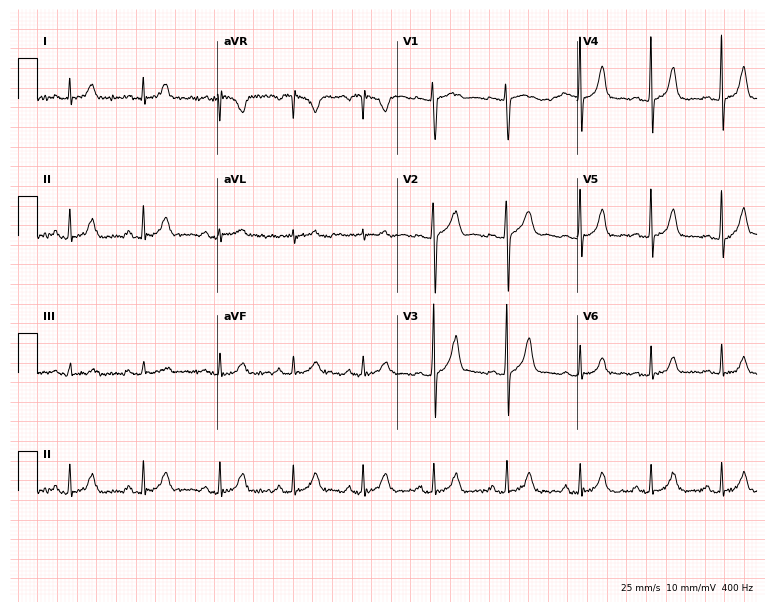
12-lead ECG from a 20-year-old female (7.3-second recording at 400 Hz). Recorded interpretation: within normal limits.